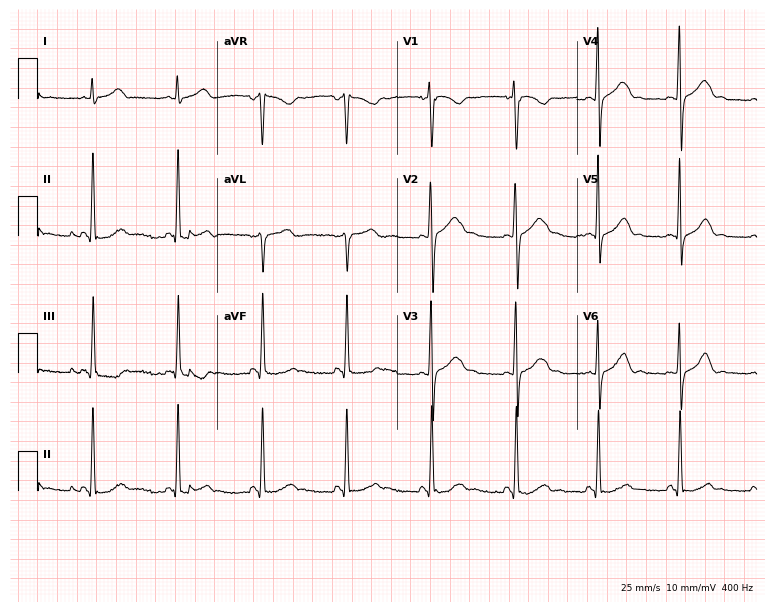
12-lead ECG from a man, 23 years old. Recorded interpretation: within normal limits.